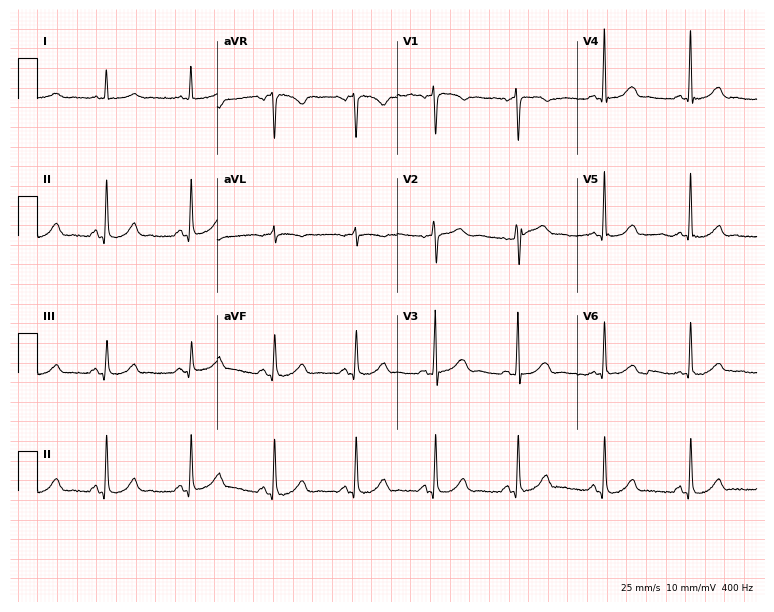
Electrocardiogram (7.3-second recording at 400 Hz), a 54-year-old female. Overall reading on record: normal ECG.